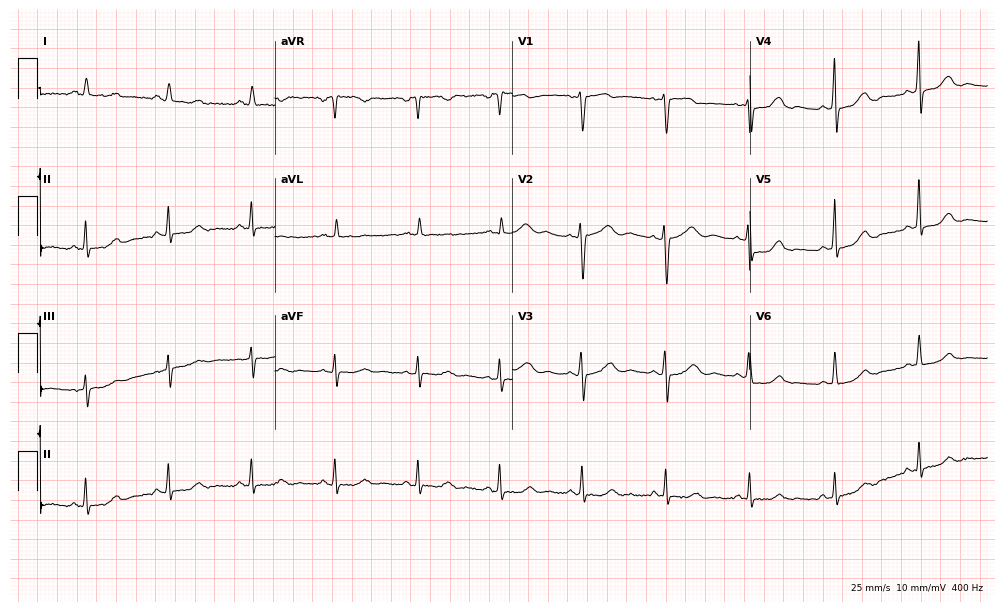
ECG (9.7-second recording at 400 Hz) — a 58-year-old female patient. Labelled as a normal ECG.